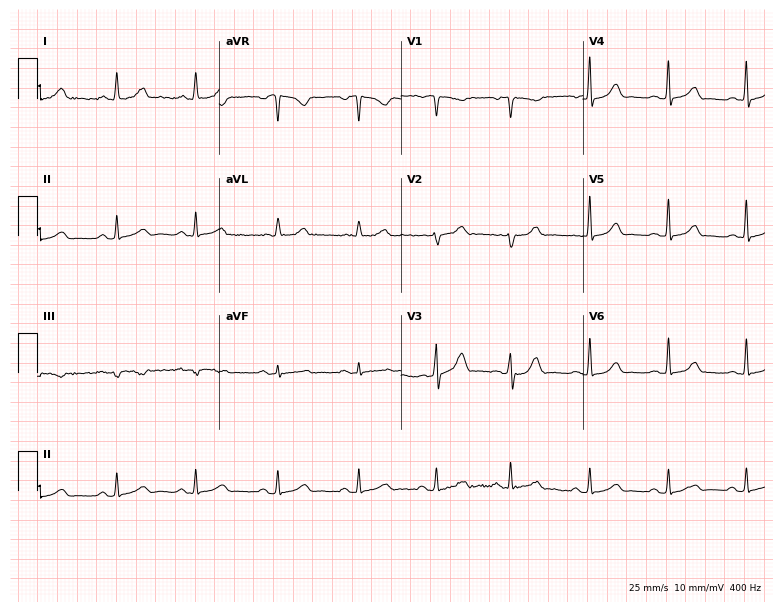
Standard 12-lead ECG recorded from a 40-year-old female. None of these six findings is recorded: first-degree AV block, right bundle branch block, left bundle branch block, sinus bradycardia, atrial fibrillation, sinus tachycardia. Only these six findings were labelled.